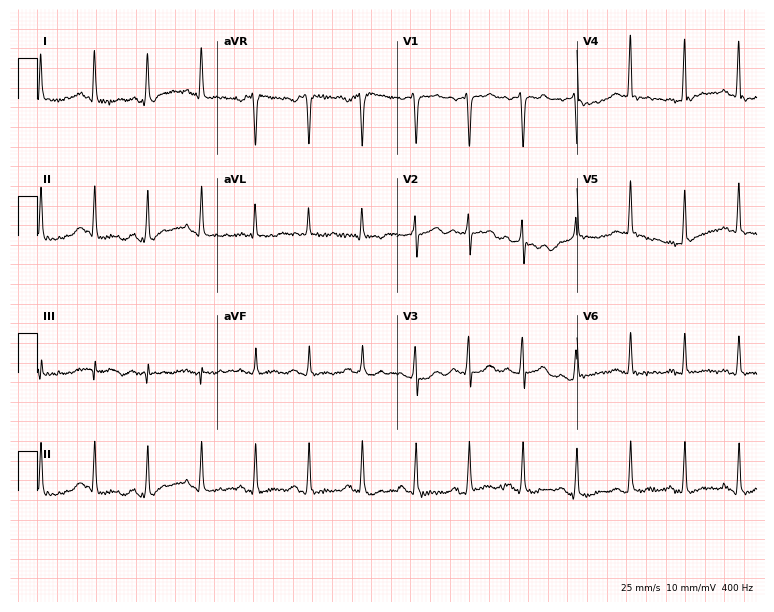
12-lead ECG (7.3-second recording at 400 Hz) from a woman, 46 years old. Findings include sinus tachycardia (a sinus rate of 100 beats per minute or more).